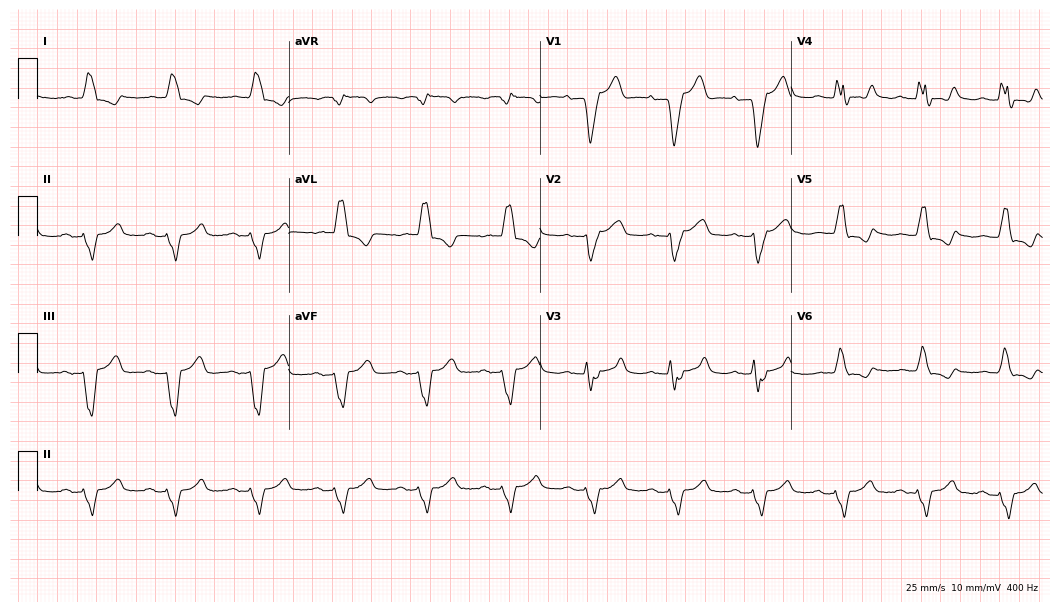
Resting 12-lead electrocardiogram. Patient: an 84-year-old male. The tracing shows first-degree AV block, left bundle branch block (LBBB).